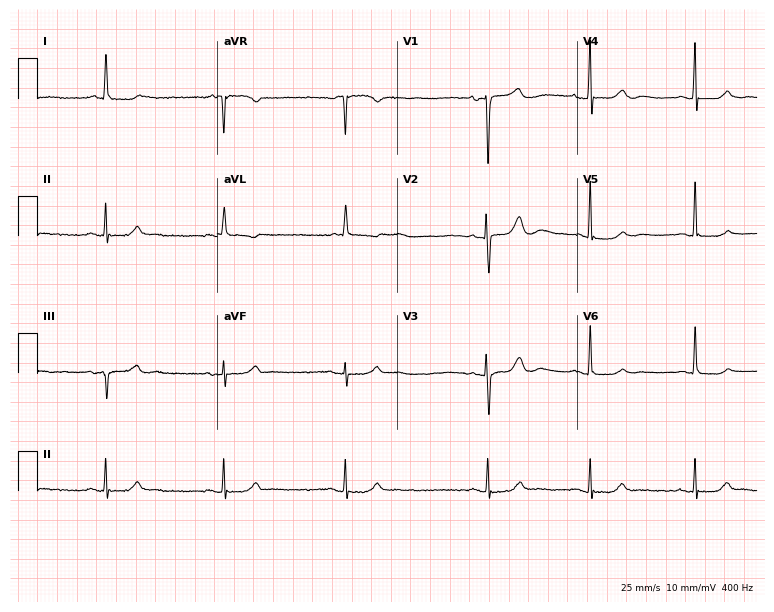
Resting 12-lead electrocardiogram. Patient: an 82-year-old female. None of these six findings is recorded: first-degree AV block, right bundle branch block, left bundle branch block, sinus bradycardia, atrial fibrillation, sinus tachycardia. Other findings, if any, are not listed.